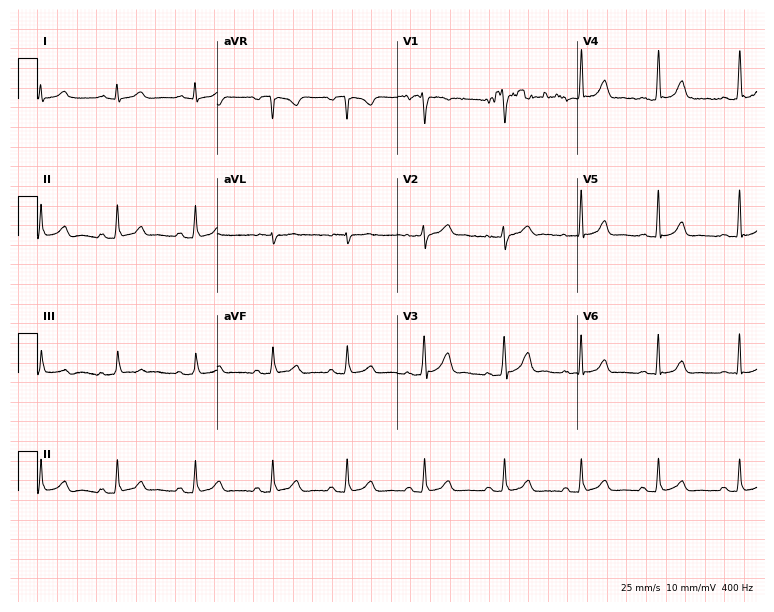
Resting 12-lead electrocardiogram (7.3-second recording at 400 Hz). Patient: a 37-year-old woman. Read as a normal ECG.